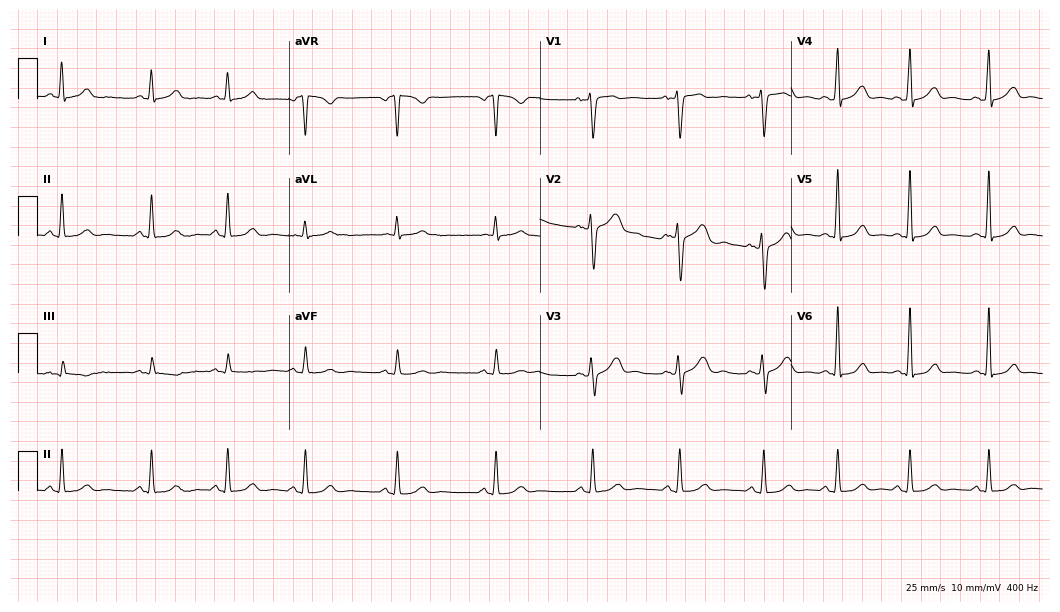
Standard 12-lead ECG recorded from a 33-year-old female patient. Read as a normal ECG.